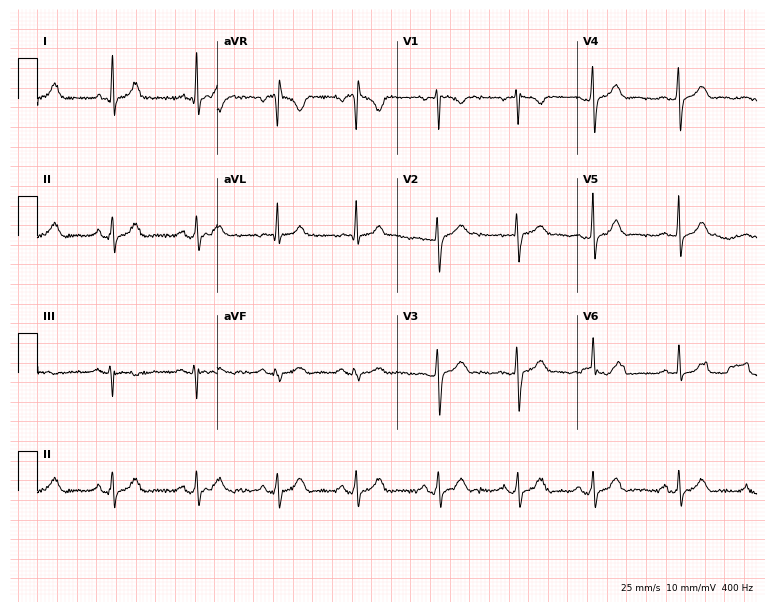
12-lead ECG from a 30-year-old female patient (7.3-second recording at 400 Hz). Recorded interpretation: within normal limits.